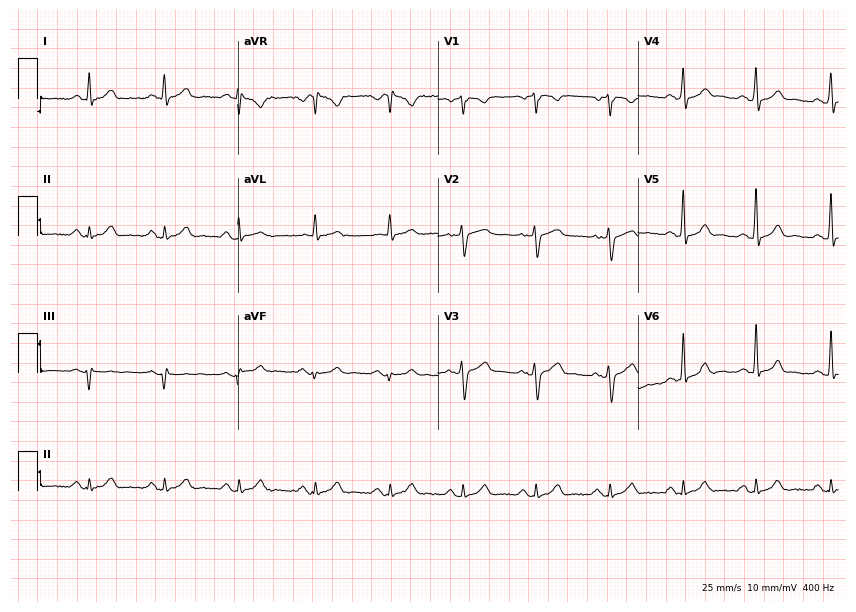
12-lead ECG from a male, 48 years old. Recorded interpretation: within normal limits.